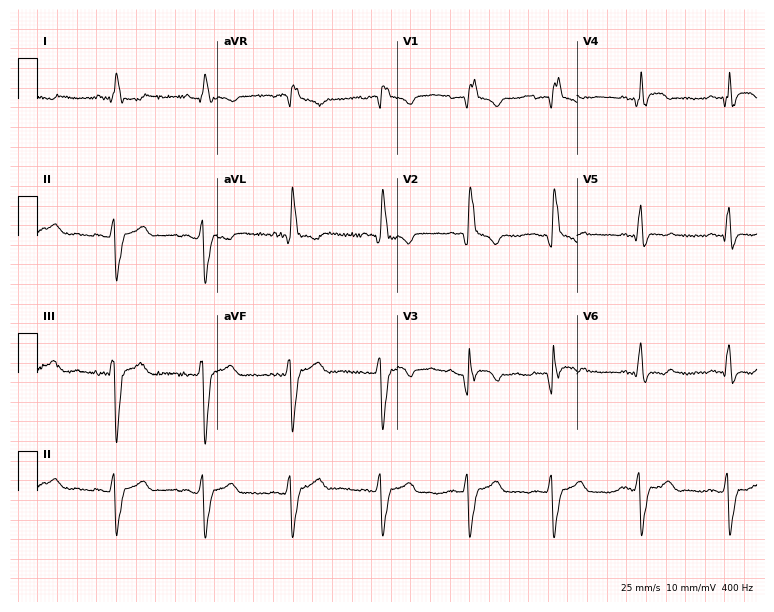
ECG (7.3-second recording at 400 Hz) — a 59-year-old woman. Findings include right bundle branch block.